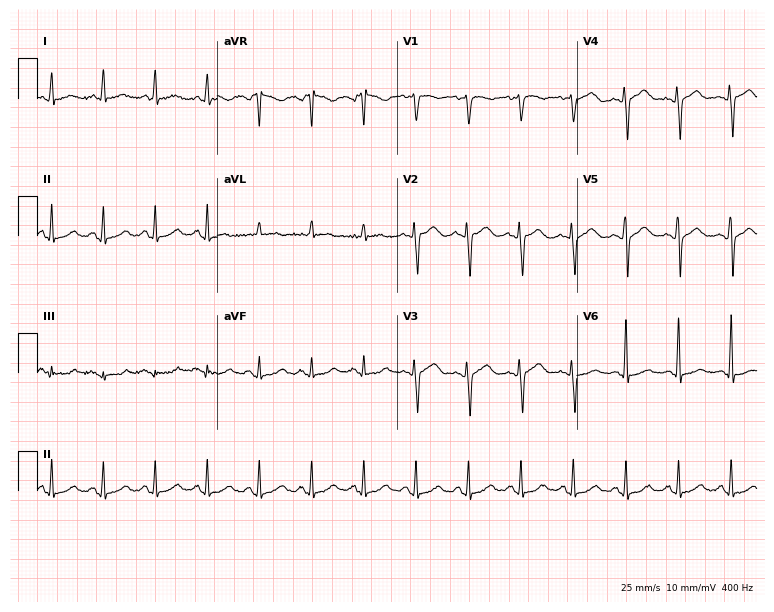
12-lead ECG from a 42-year-old female patient. Shows sinus tachycardia (a sinus rate of 100 beats per minute or more).